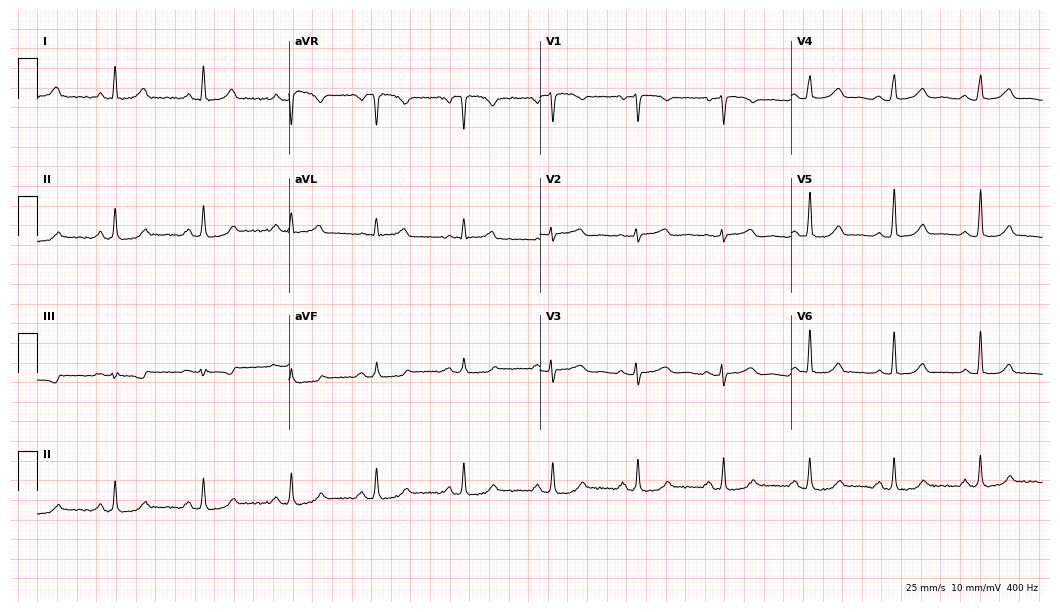
Electrocardiogram (10.2-second recording at 400 Hz), a 56-year-old woman. Overall reading on record: normal ECG.